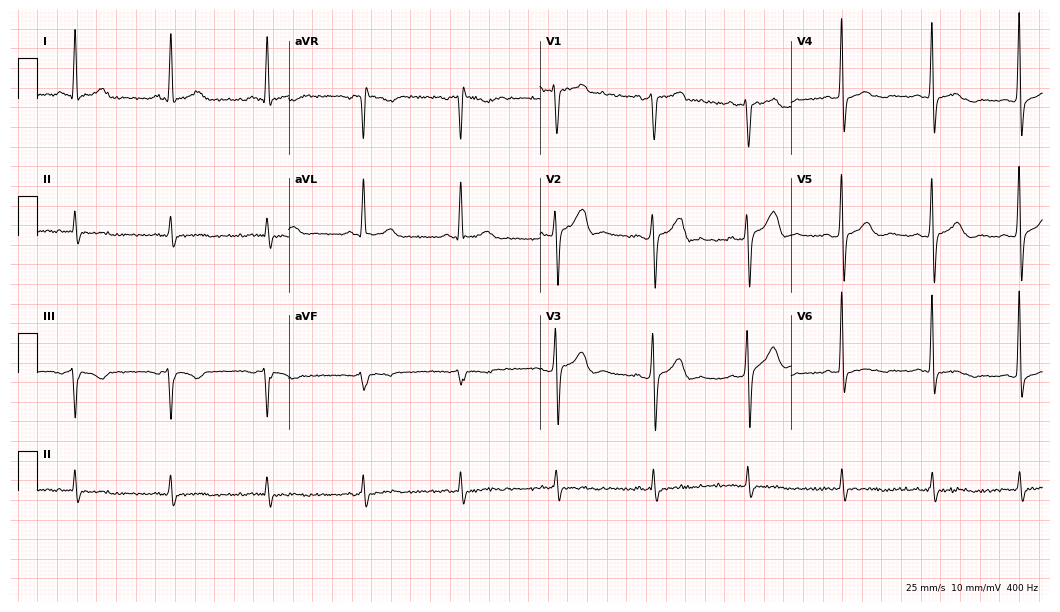
12-lead ECG from an 81-year-old man. Screened for six findings — first-degree AV block, right bundle branch block, left bundle branch block, sinus bradycardia, atrial fibrillation, sinus tachycardia — none is recorded. Other findings, if any, are not listed.